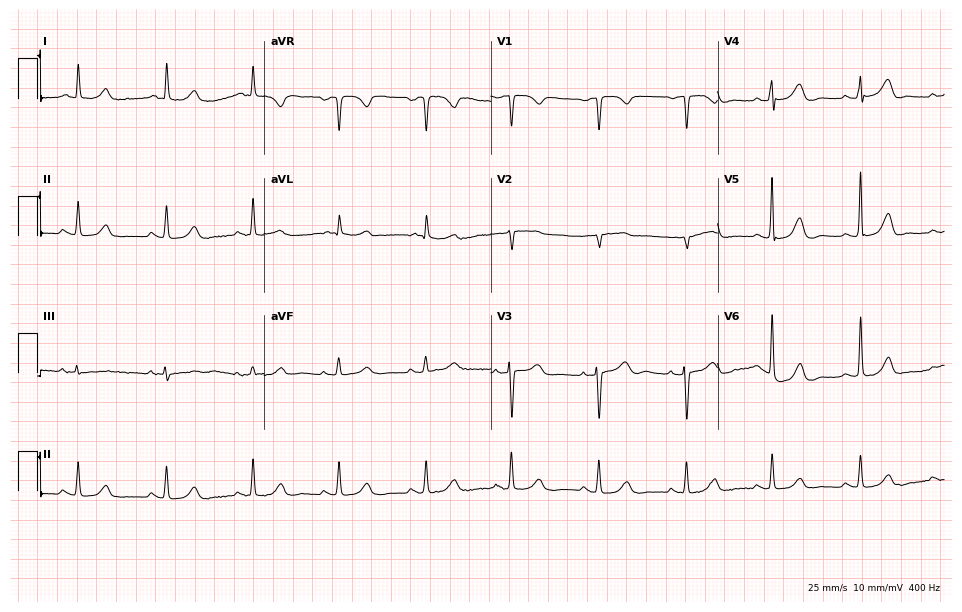
12-lead ECG (9.2-second recording at 400 Hz) from a female, 80 years old. Labelled as a normal ECG.